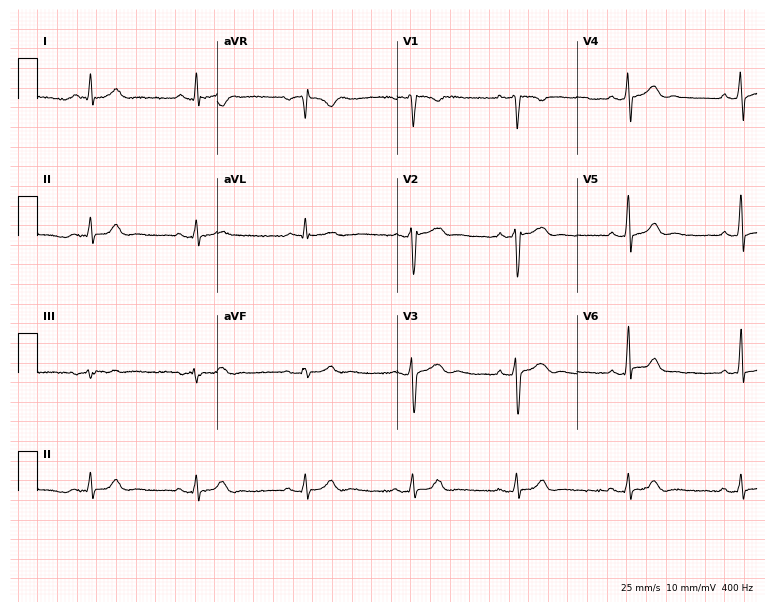
12-lead ECG from a 30-year-old male (7.3-second recording at 400 Hz). Recorded interpretation: within normal limits.